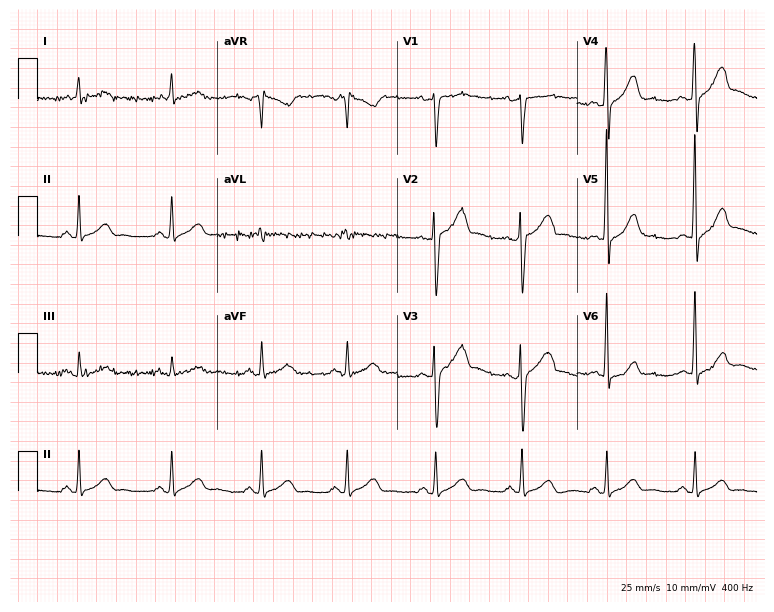
ECG (7.3-second recording at 400 Hz) — a 47-year-old male. Labelled as a normal ECG.